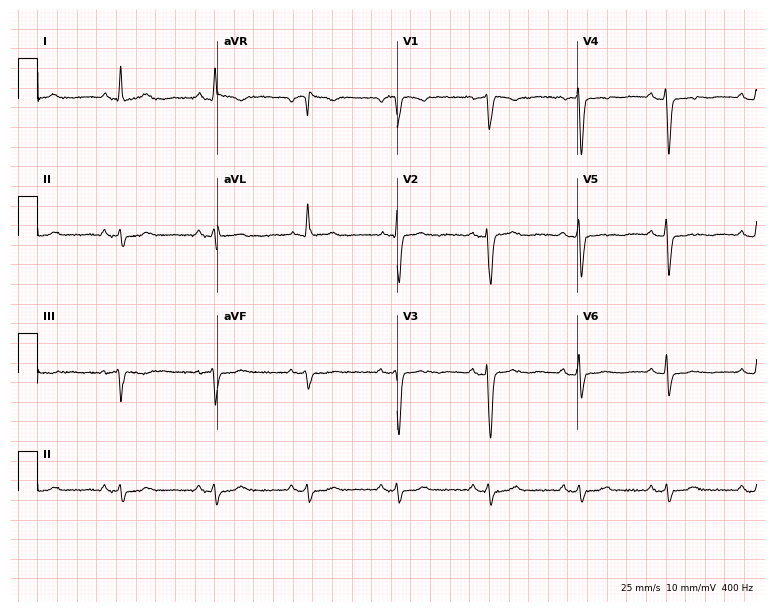
Electrocardiogram (7.3-second recording at 400 Hz), a 64-year-old woman. Of the six screened findings (first-degree AV block, right bundle branch block, left bundle branch block, sinus bradycardia, atrial fibrillation, sinus tachycardia), none is recorded.